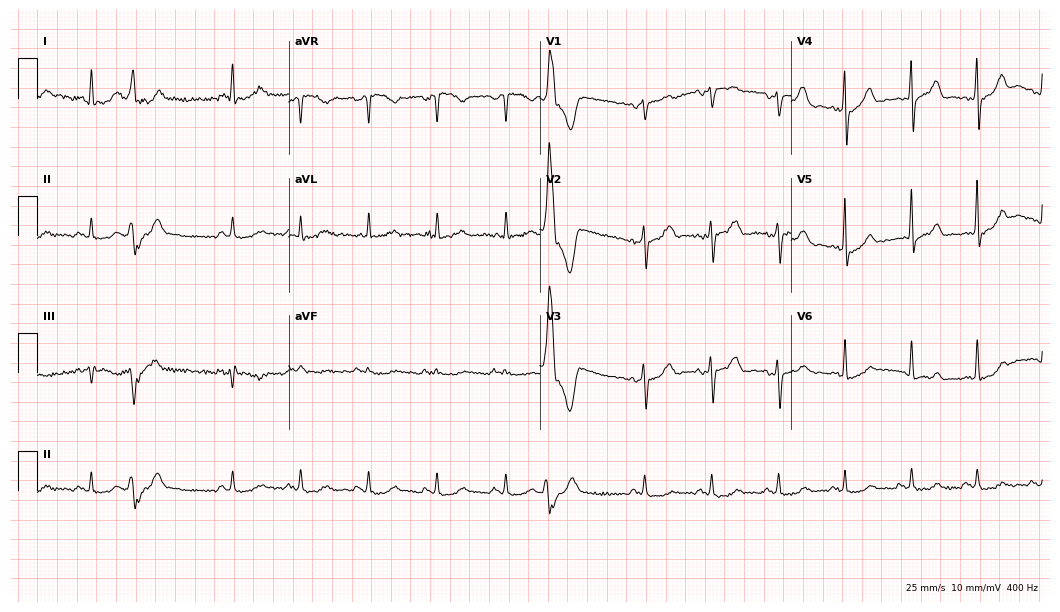
Electrocardiogram (10.2-second recording at 400 Hz), a 56-year-old female patient. Overall reading on record: normal ECG.